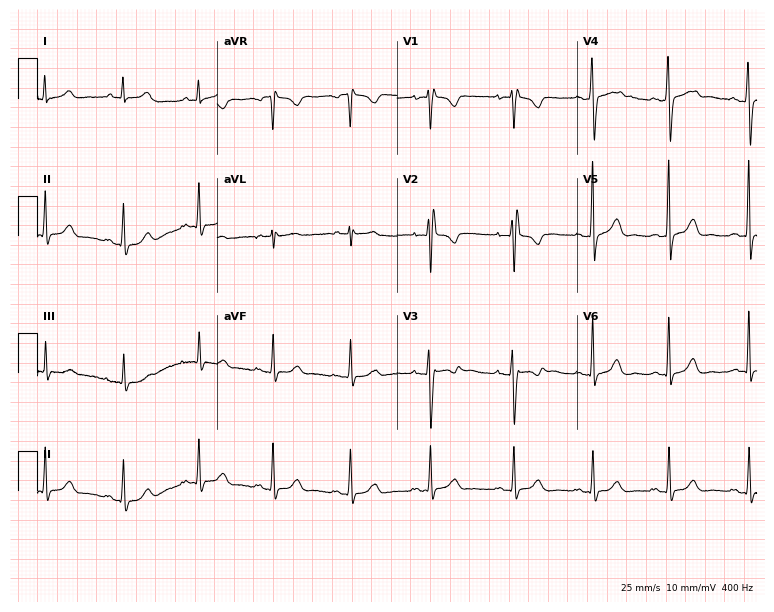
12-lead ECG from a woman, 23 years old. No first-degree AV block, right bundle branch block, left bundle branch block, sinus bradycardia, atrial fibrillation or sinus tachycardia recorded for this tracing. Only these six findings were labelled.